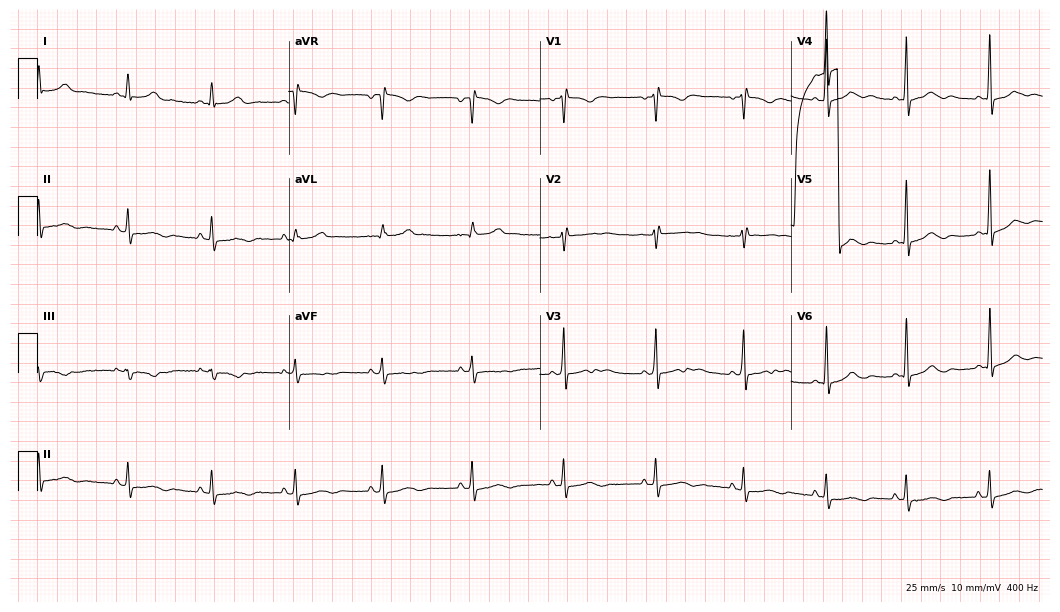
12-lead ECG from a female patient, 29 years old. Screened for six findings — first-degree AV block, right bundle branch block, left bundle branch block, sinus bradycardia, atrial fibrillation, sinus tachycardia — none is recorded. Findings outside these six are not listed.